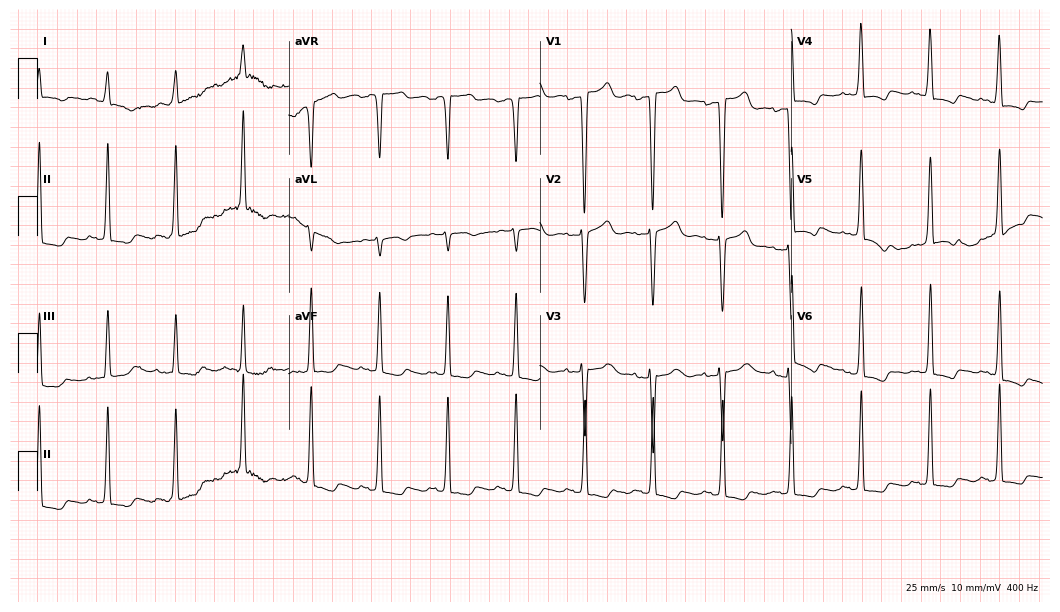
ECG — a female, 82 years old. Screened for six findings — first-degree AV block, right bundle branch block, left bundle branch block, sinus bradycardia, atrial fibrillation, sinus tachycardia — none is recorded.